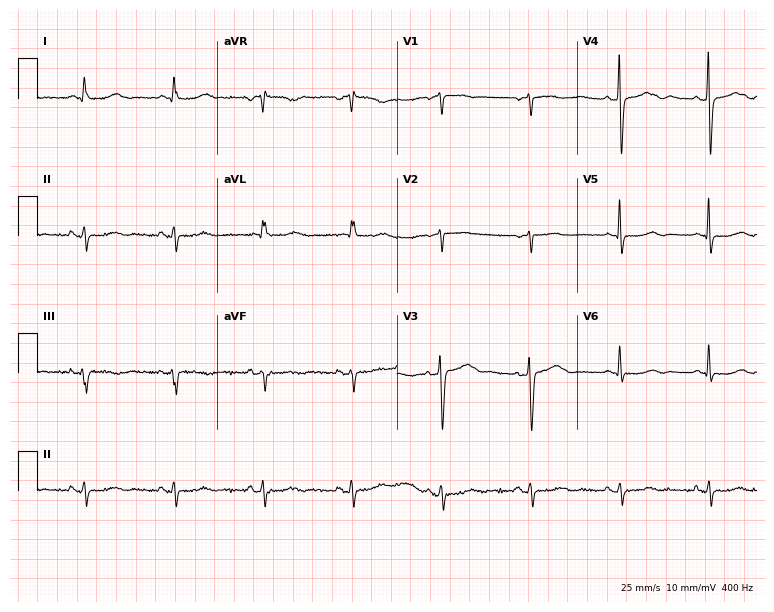
12-lead ECG from a female, 70 years old. No first-degree AV block, right bundle branch block, left bundle branch block, sinus bradycardia, atrial fibrillation or sinus tachycardia recorded for this tracing. Other findings, if any, are not listed.